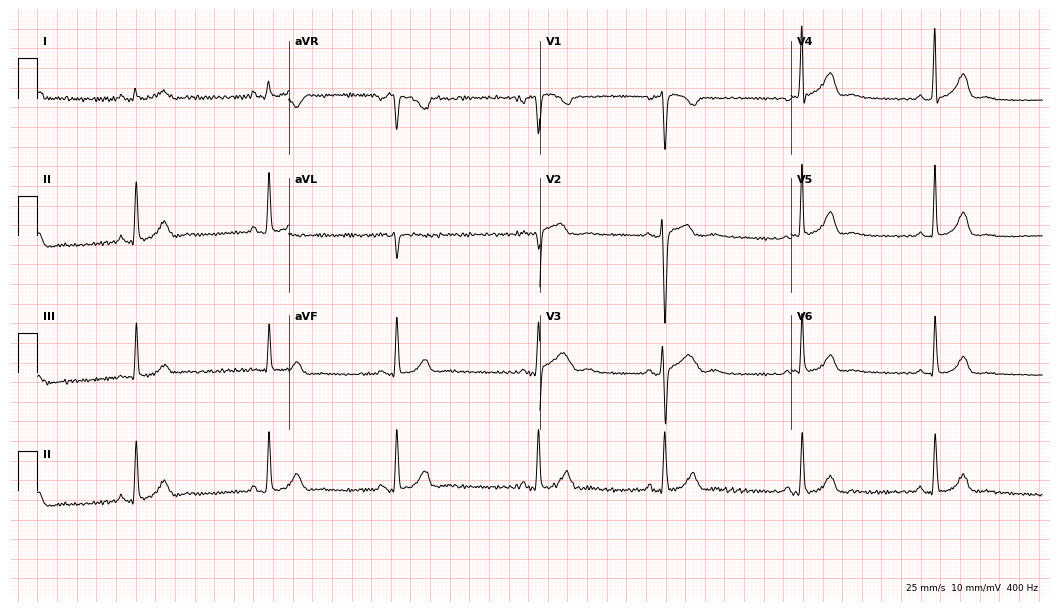
Electrocardiogram, a woman, 24 years old. Interpretation includes sinus bradycardia (a sinus rate of 50 beats per minute or less).